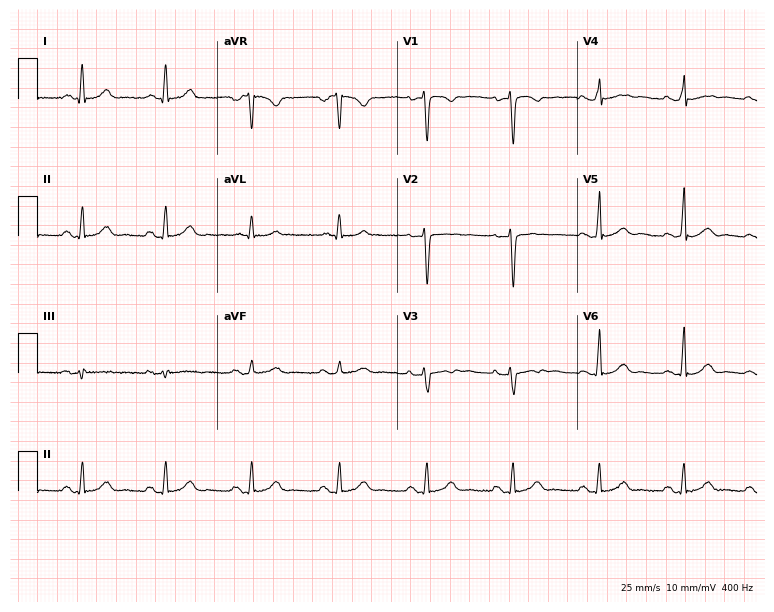
Resting 12-lead electrocardiogram. Patient: a female, 37 years old. Read as a normal ECG.